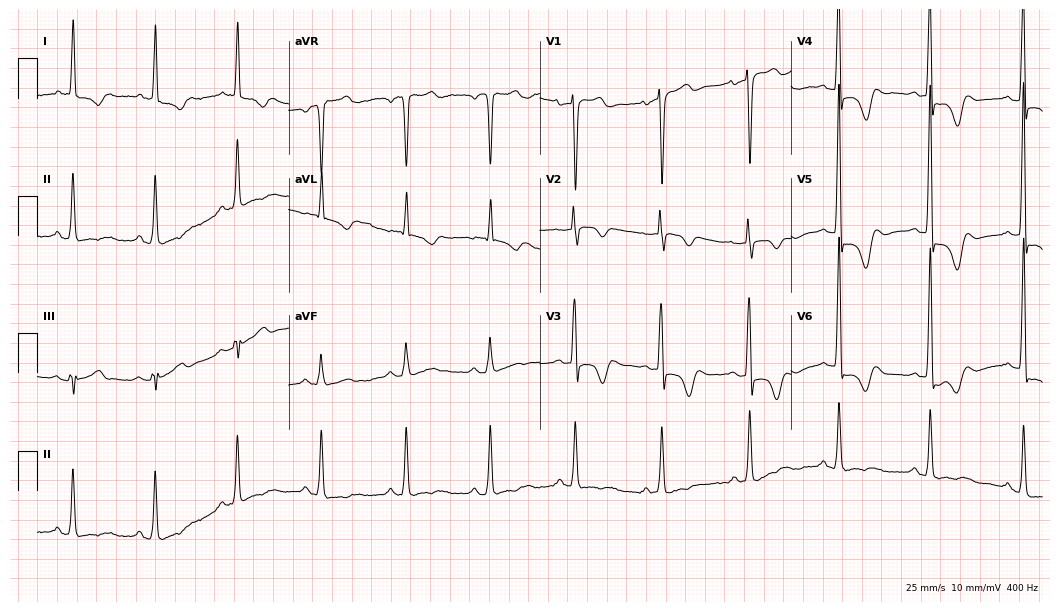
Standard 12-lead ECG recorded from a male, 84 years old (10.2-second recording at 400 Hz). None of these six findings is recorded: first-degree AV block, right bundle branch block, left bundle branch block, sinus bradycardia, atrial fibrillation, sinus tachycardia. Only these six findings were labelled.